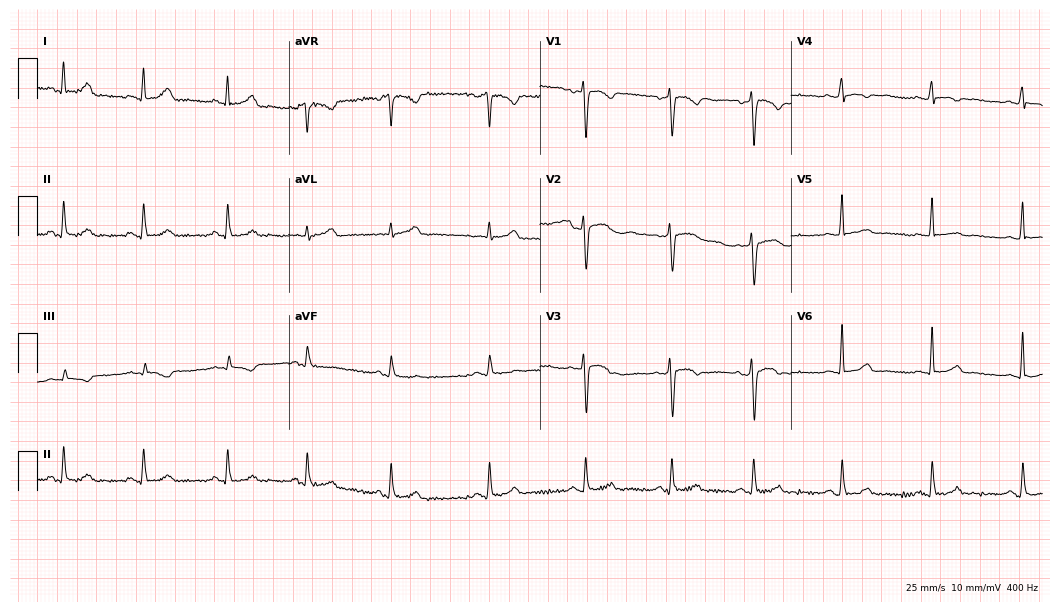
Standard 12-lead ECG recorded from a female, 39 years old. None of these six findings is recorded: first-degree AV block, right bundle branch block, left bundle branch block, sinus bradycardia, atrial fibrillation, sinus tachycardia.